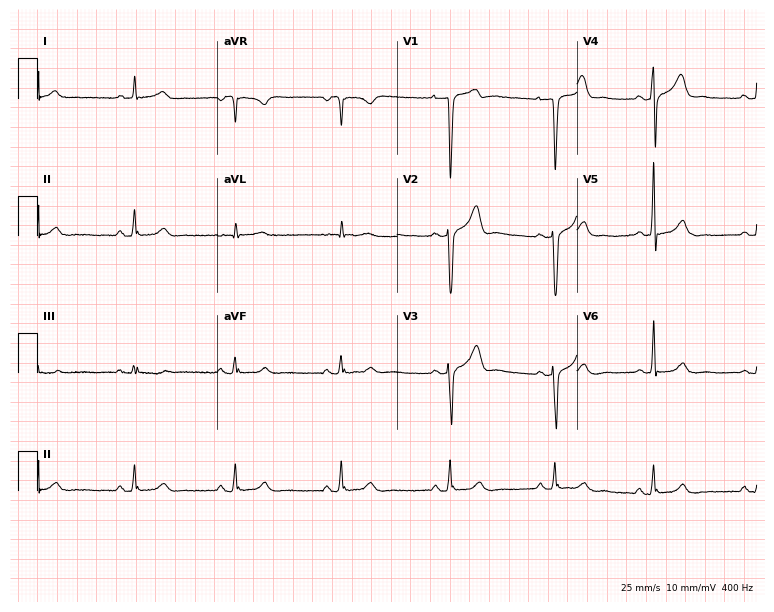
ECG — a 39-year-old man. Labelled as a normal ECG.